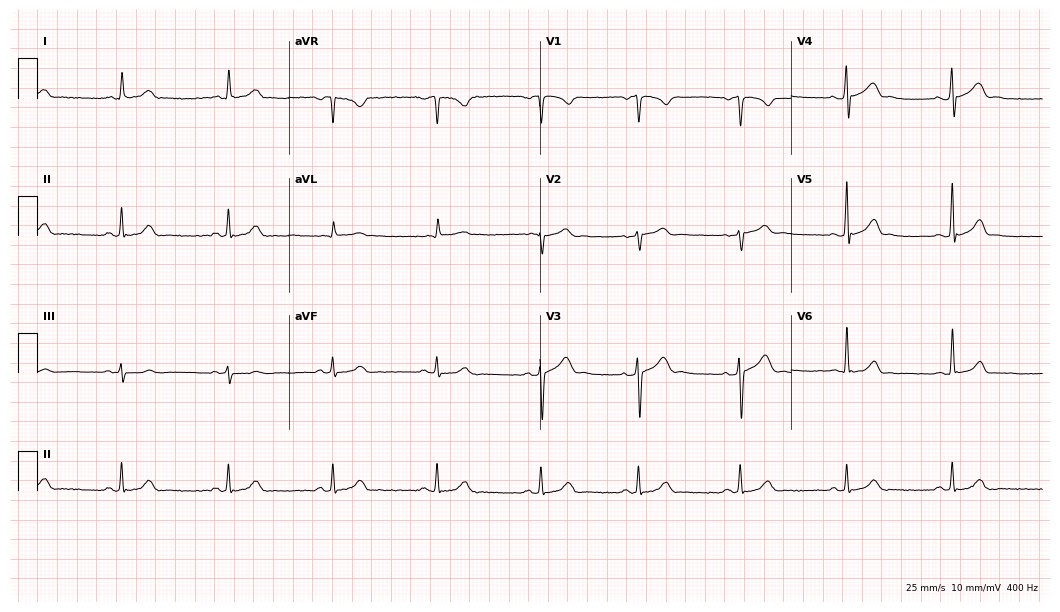
Electrocardiogram (10.2-second recording at 400 Hz), a 34-year-old male. Overall reading on record: normal ECG.